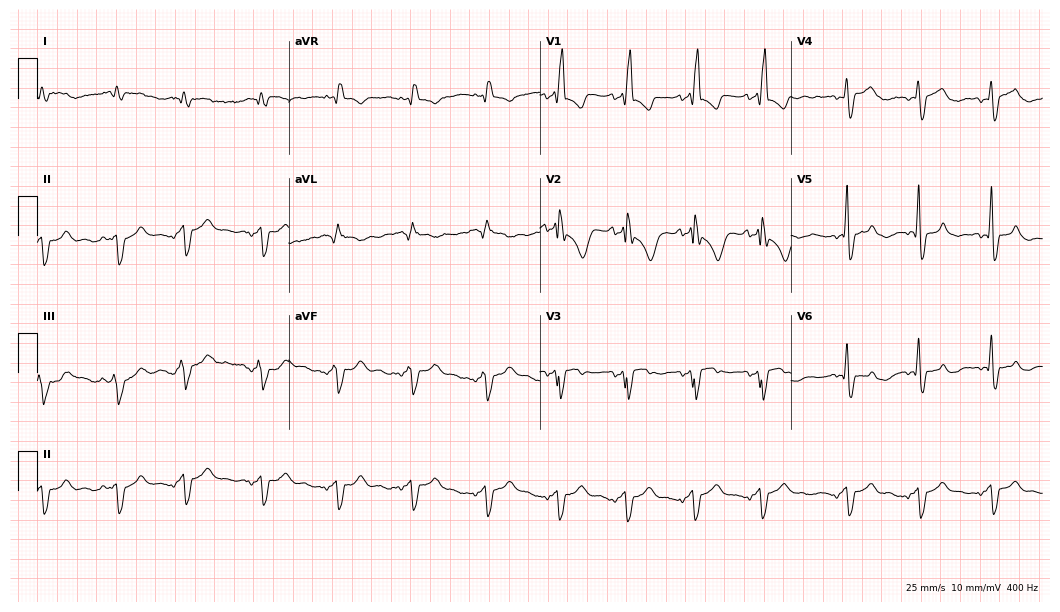
Standard 12-lead ECG recorded from a woman, 73 years old. None of these six findings is recorded: first-degree AV block, right bundle branch block (RBBB), left bundle branch block (LBBB), sinus bradycardia, atrial fibrillation (AF), sinus tachycardia. Other findings, if any, are not listed.